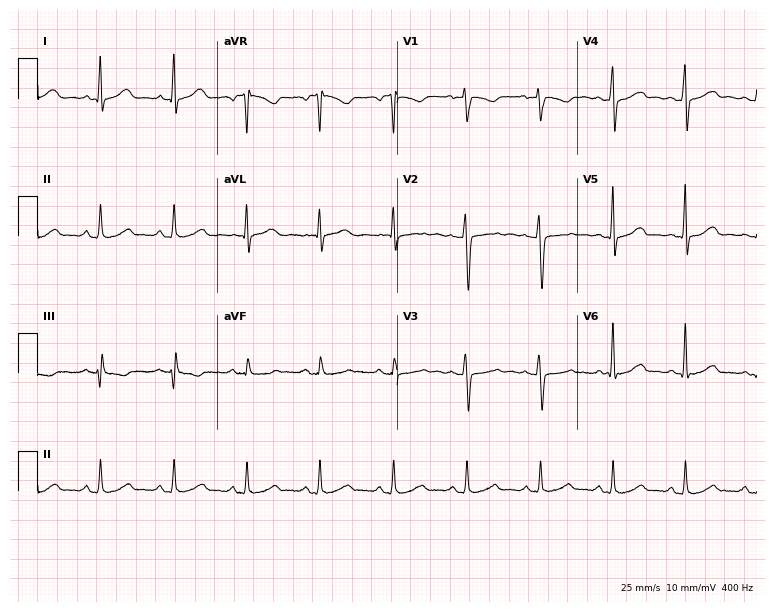
Electrocardiogram (7.3-second recording at 400 Hz), a female patient, 42 years old. Overall reading on record: normal ECG.